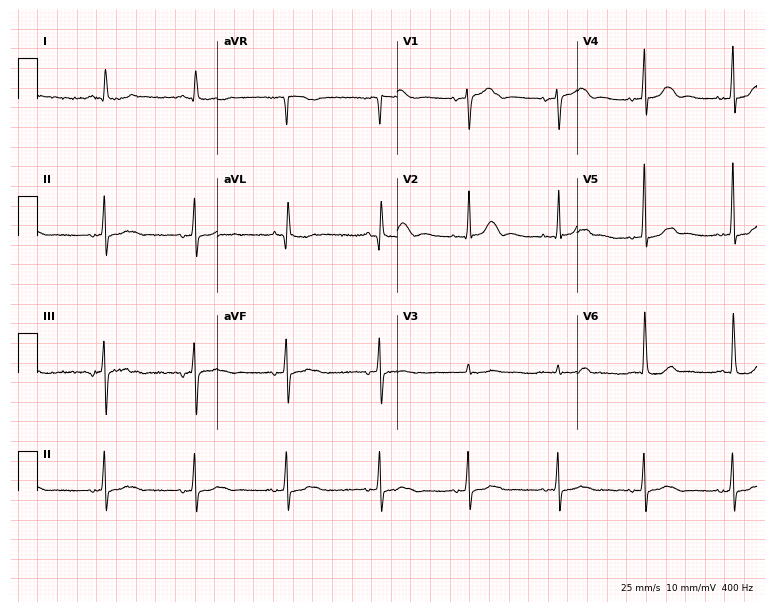
12-lead ECG (7.3-second recording at 400 Hz) from a female, 85 years old. Screened for six findings — first-degree AV block, right bundle branch block (RBBB), left bundle branch block (LBBB), sinus bradycardia, atrial fibrillation (AF), sinus tachycardia — none is recorded. Other findings, if any, are not listed.